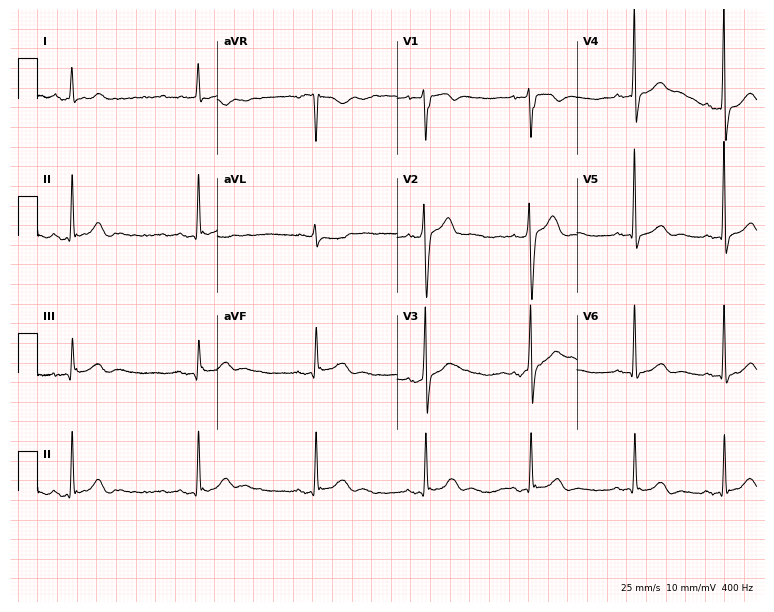
12-lead ECG from a male, 27 years old. Recorded interpretation: within normal limits.